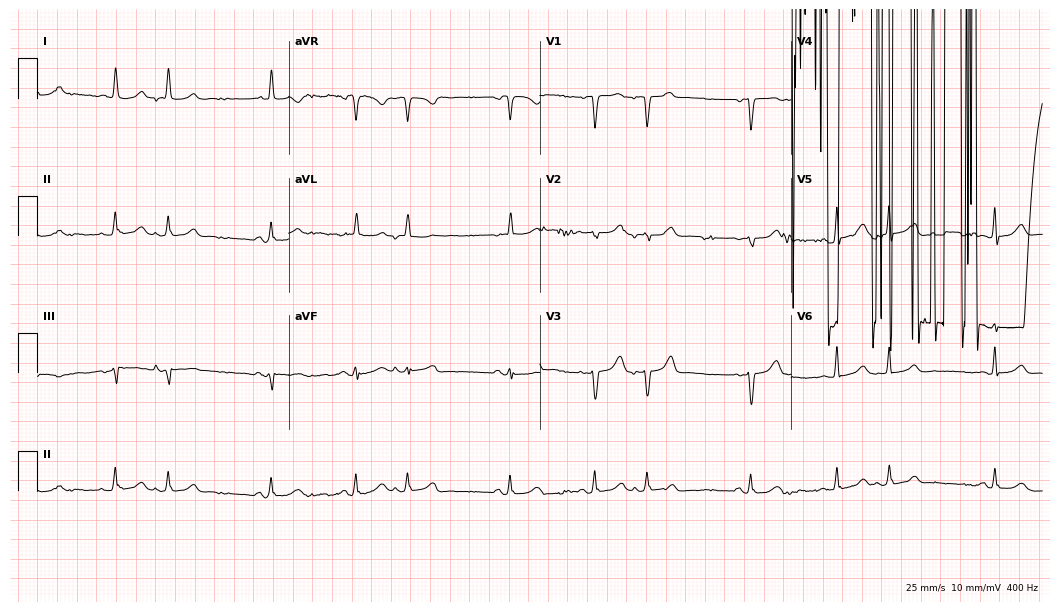
Resting 12-lead electrocardiogram. Patient: a 72-year-old female. None of these six findings is recorded: first-degree AV block, right bundle branch block (RBBB), left bundle branch block (LBBB), sinus bradycardia, atrial fibrillation (AF), sinus tachycardia. Findings outside these six are not listed.